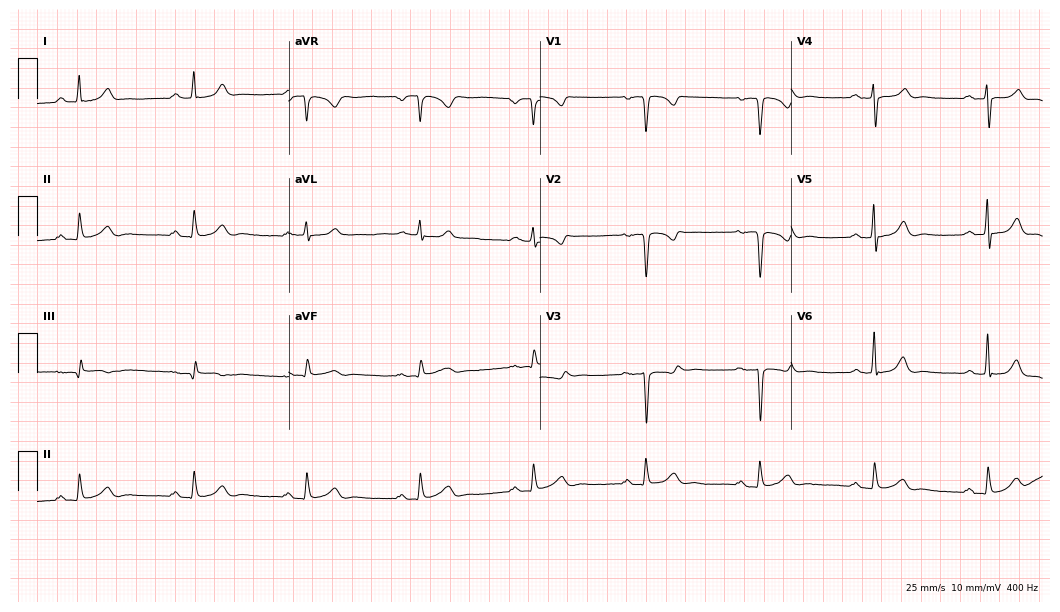
Standard 12-lead ECG recorded from a man, 60 years old. None of these six findings is recorded: first-degree AV block, right bundle branch block, left bundle branch block, sinus bradycardia, atrial fibrillation, sinus tachycardia.